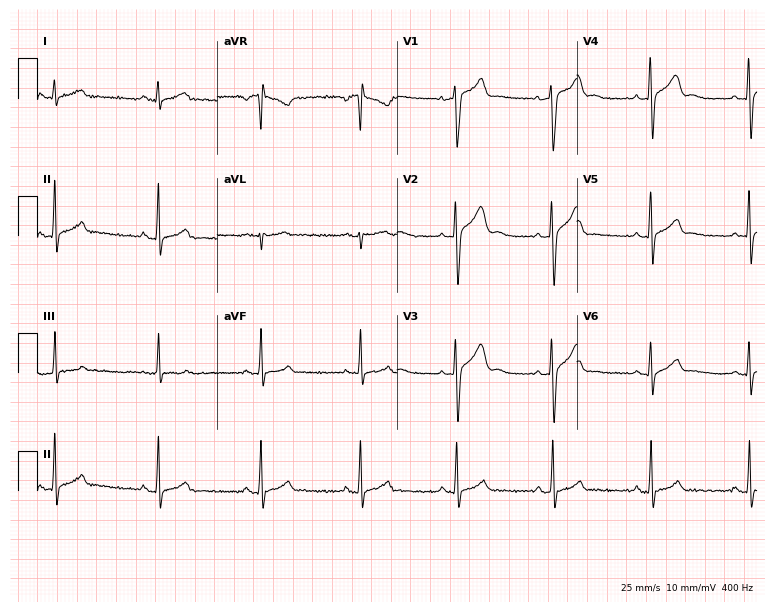
Electrocardiogram, a man, 30 years old. Overall reading on record: normal ECG.